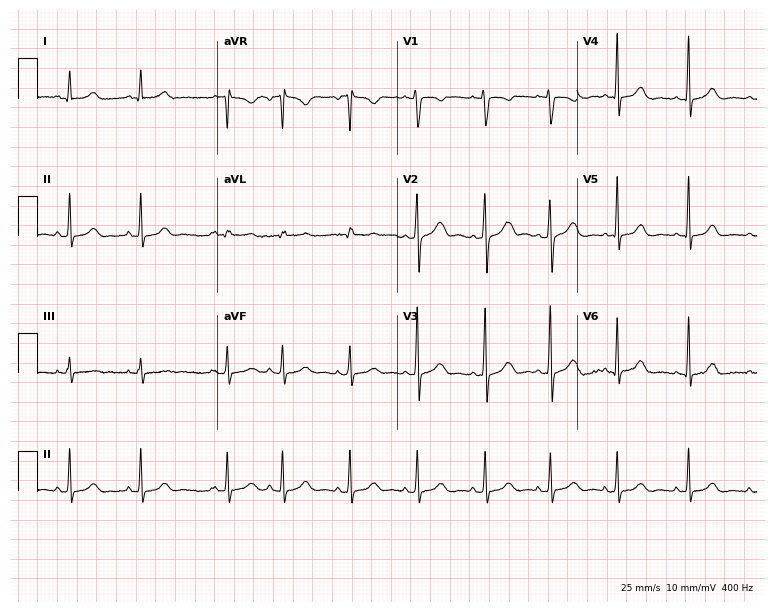
ECG — a 26-year-old female patient. Labelled as a normal ECG.